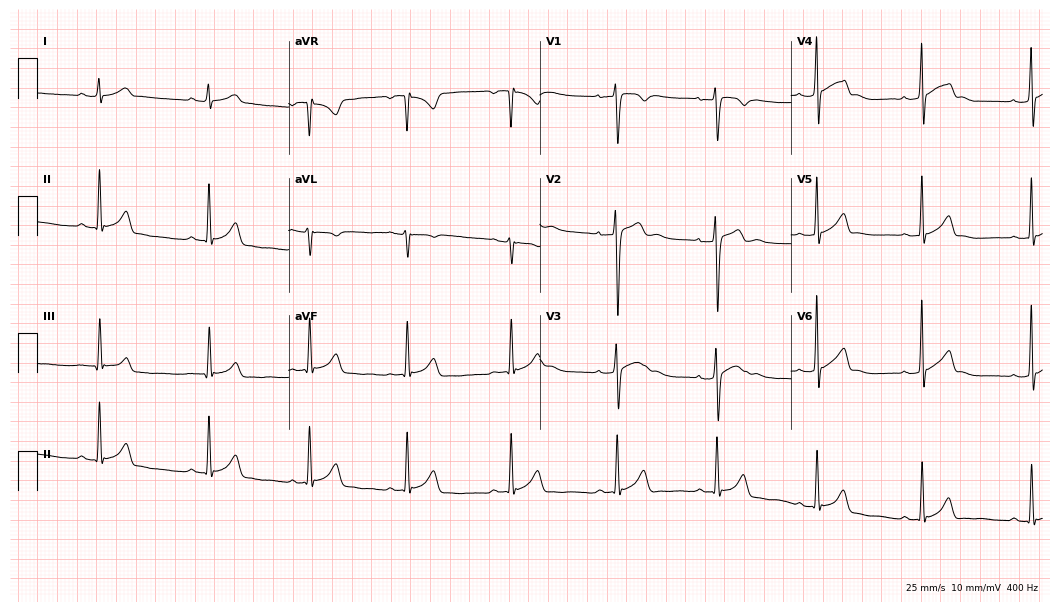
Electrocardiogram, a male, 24 years old. Of the six screened findings (first-degree AV block, right bundle branch block (RBBB), left bundle branch block (LBBB), sinus bradycardia, atrial fibrillation (AF), sinus tachycardia), none is recorded. Only these six findings were labelled.